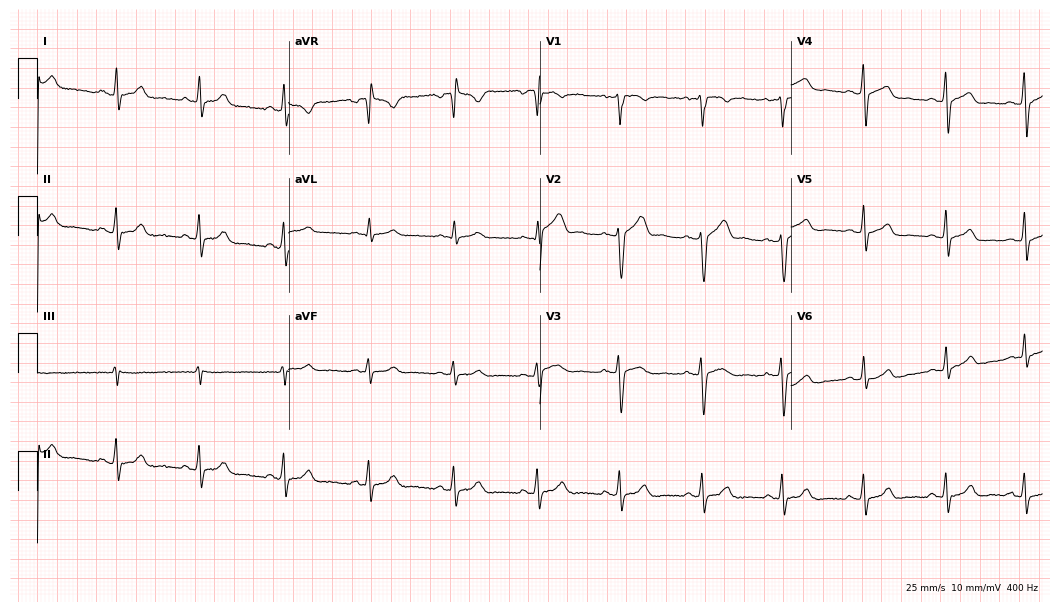
12-lead ECG (10.2-second recording at 400 Hz) from a 32-year-old man. Labelled as a normal ECG.